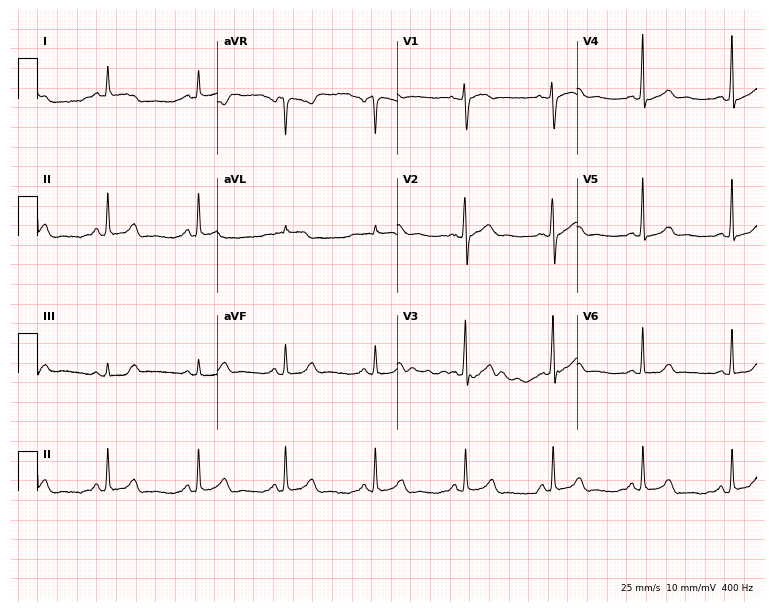
Electrocardiogram, a 36-year-old female. Of the six screened findings (first-degree AV block, right bundle branch block, left bundle branch block, sinus bradycardia, atrial fibrillation, sinus tachycardia), none is recorded.